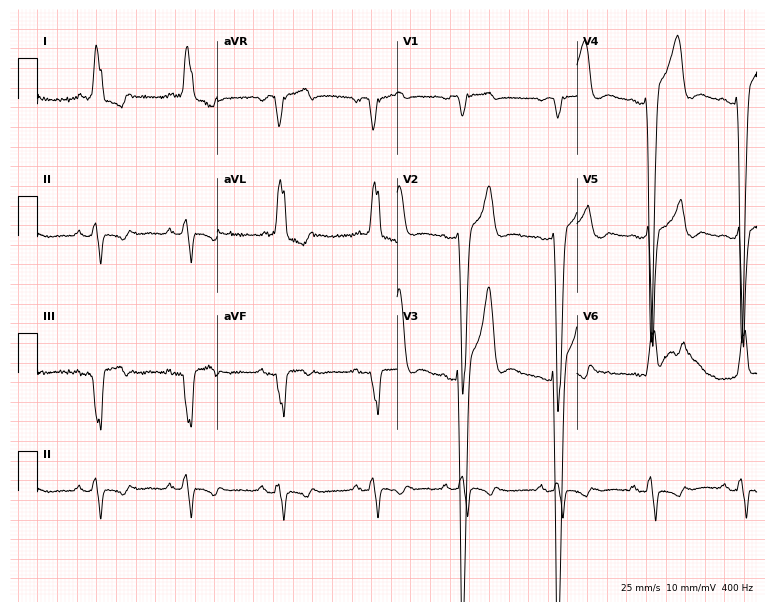
ECG — a 79-year-old female patient. Findings include left bundle branch block (LBBB).